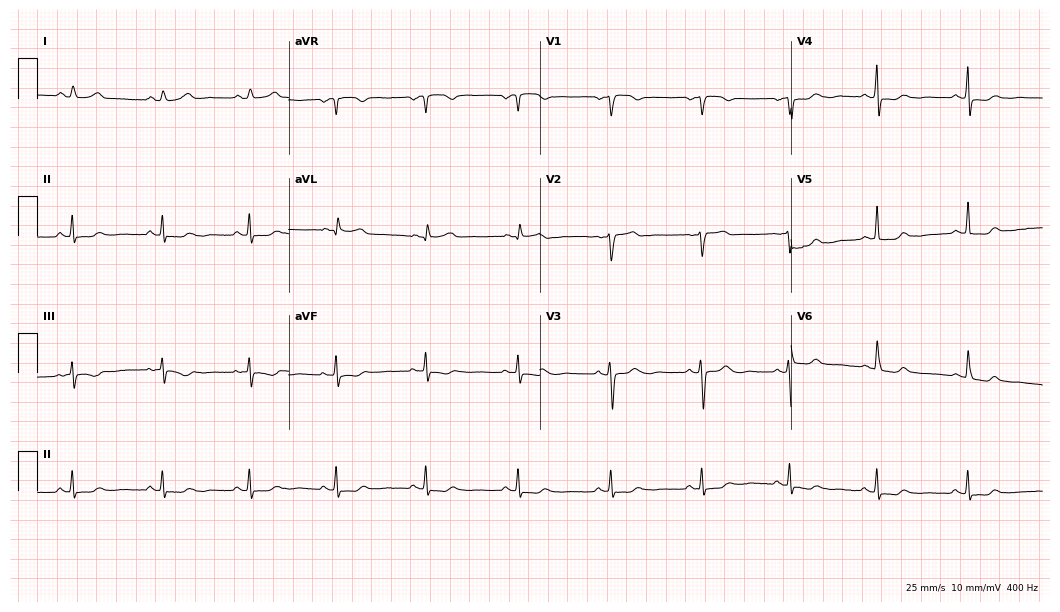
Resting 12-lead electrocardiogram (10.2-second recording at 400 Hz). Patient: a 52-year-old female. None of these six findings is recorded: first-degree AV block, right bundle branch block (RBBB), left bundle branch block (LBBB), sinus bradycardia, atrial fibrillation (AF), sinus tachycardia.